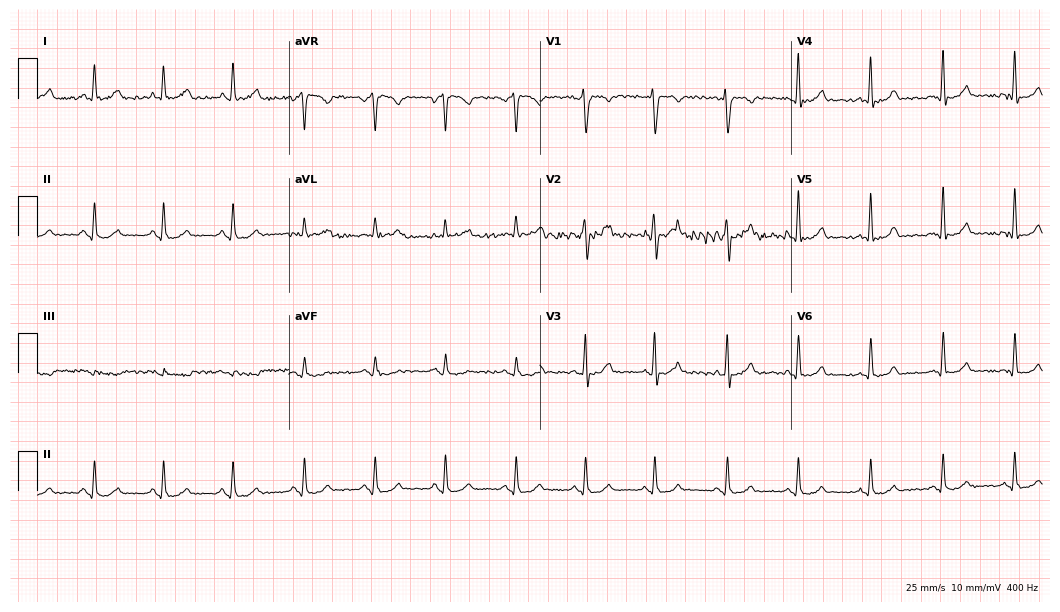
Resting 12-lead electrocardiogram (10.2-second recording at 400 Hz). Patient: a female, 39 years old. None of these six findings is recorded: first-degree AV block, right bundle branch block, left bundle branch block, sinus bradycardia, atrial fibrillation, sinus tachycardia. Only these six findings were labelled.